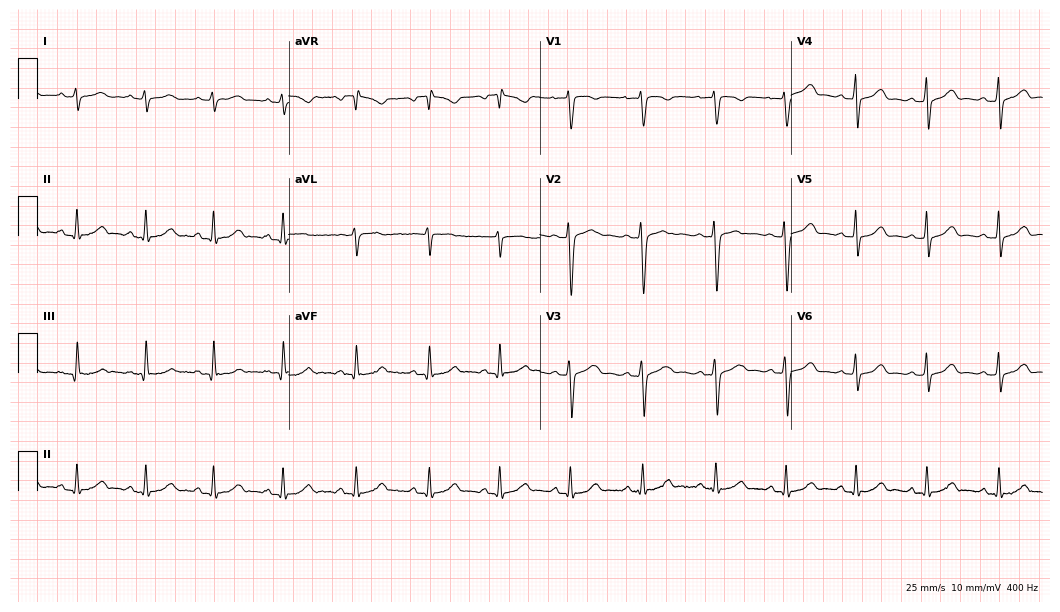
12-lead ECG from a 27-year-old female. Recorded interpretation: within normal limits.